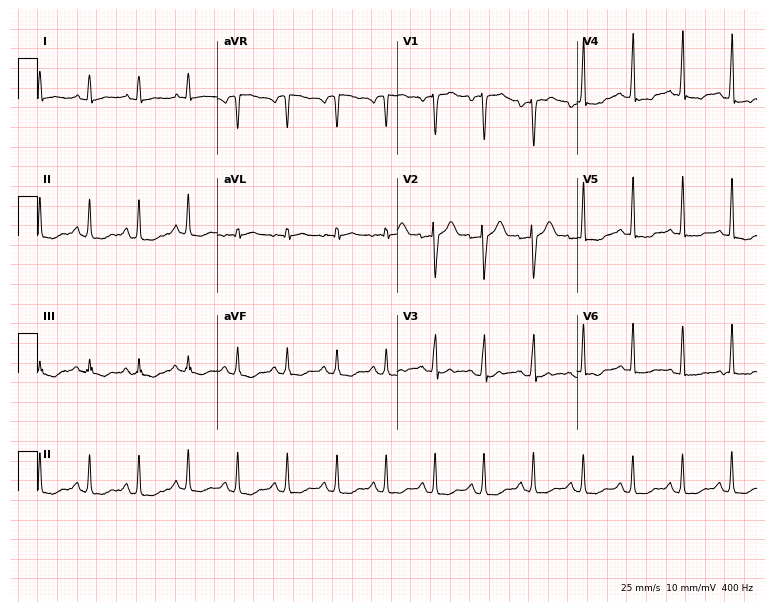
Resting 12-lead electrocardiogram (7.3-second recording at 400 Hz). Patient: a male, 29 years old. None of these six findings is recorded: first-degree AV block, right bundle branch block (RBBB), left bundle branch block (LBBB), sinus bradycardia, atrial fibrillation (AF), sinus tachycardia. Findings outside these six are not listed.